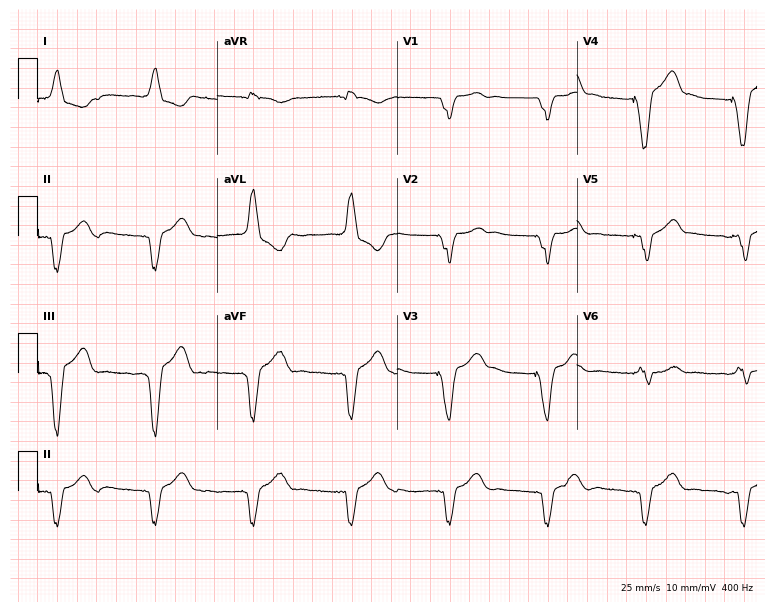
Standard 12-lead ECG recorded from a female patient, 70 years old (7.3-second recording at 400 Hz). None of these six findings is recorded: first-degree AV block, right bundle branch block, left bundle branch block, sinus bradycardia, atrial fibrillation, sinus tachycardia.